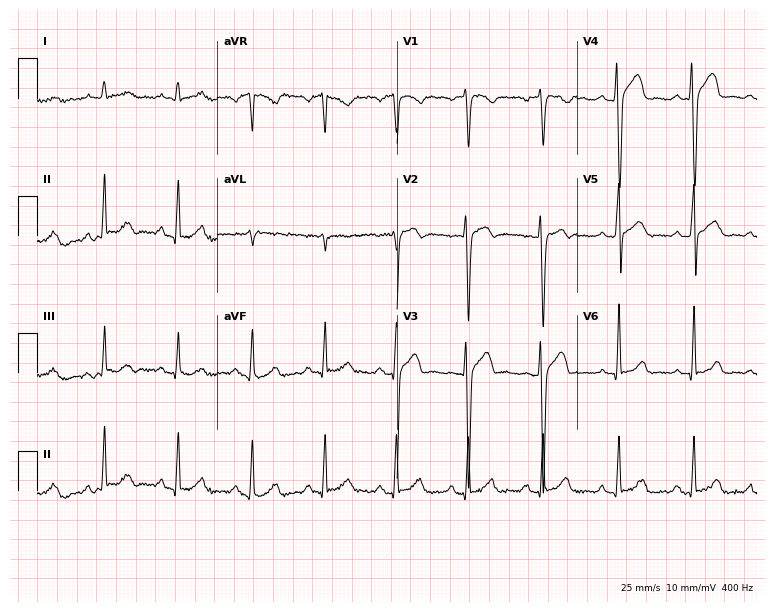
Resting 12-lead electrocardiogram. Patient: a male, 25 years old. Read as a normal ECG.